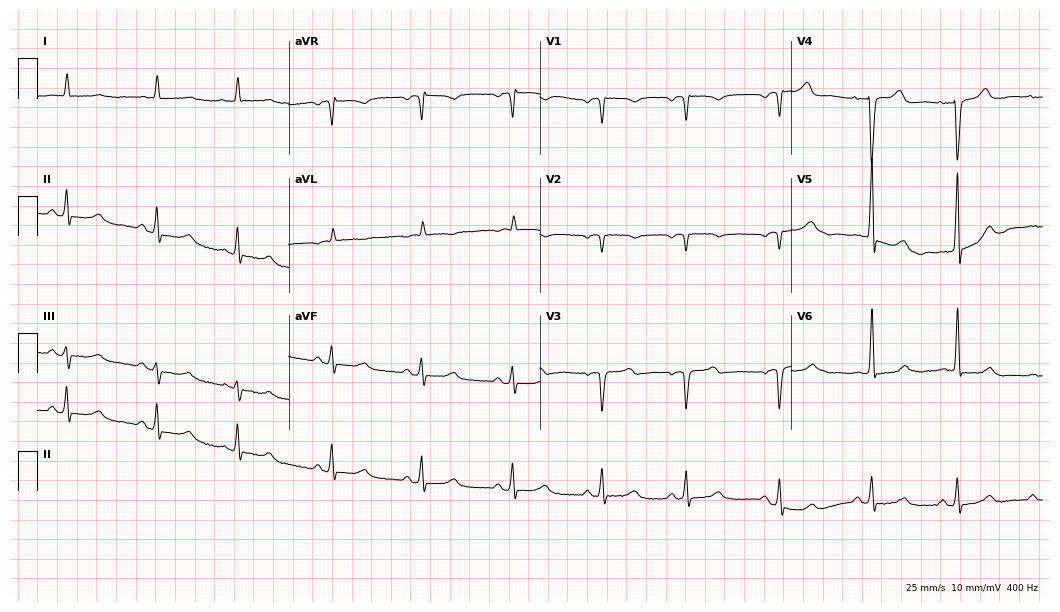
Resting 12-lead electrocardiogram (10.2-second recording at 400 Hz). Patient: an 83-year-old female. None of these six findings is recorded: first-degree AV block, right bundle branch block, left bundle branch block, sinus bradycardia, atrial fibrillation, sinus tachycardia.